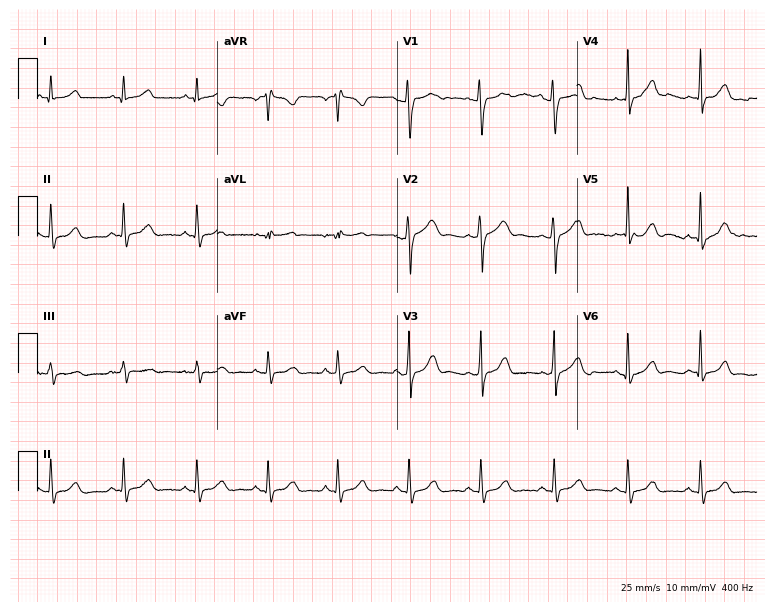
Standard 12-lead ECG recorded from a 28-year-old woman. Read as a normal ECG.